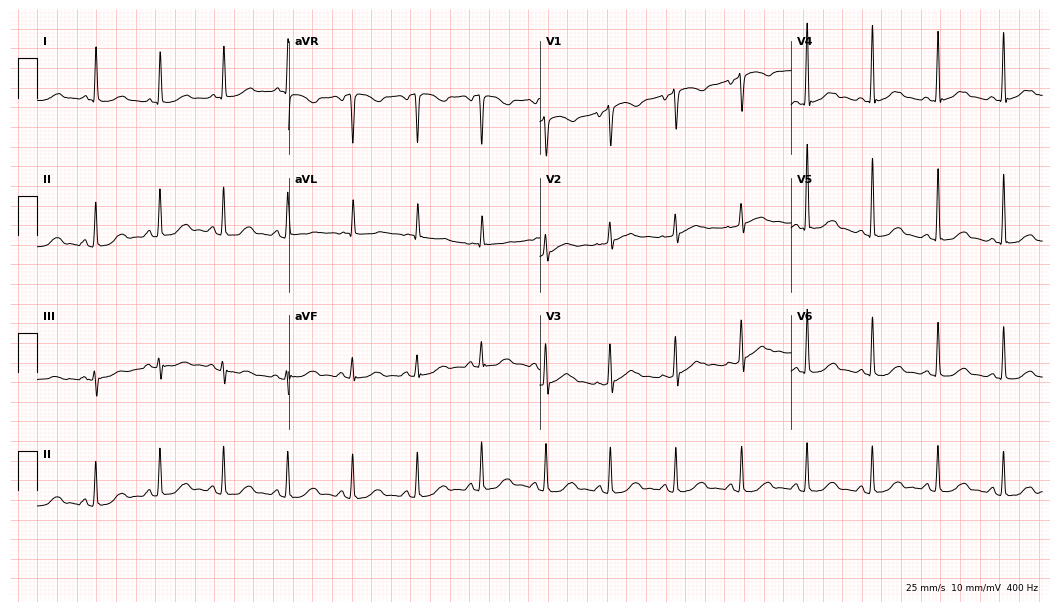
Electrocardiogram (10.2-second recording at 400 Hz), a female patient, 76 years old. Overall reading on record: normal ECG.